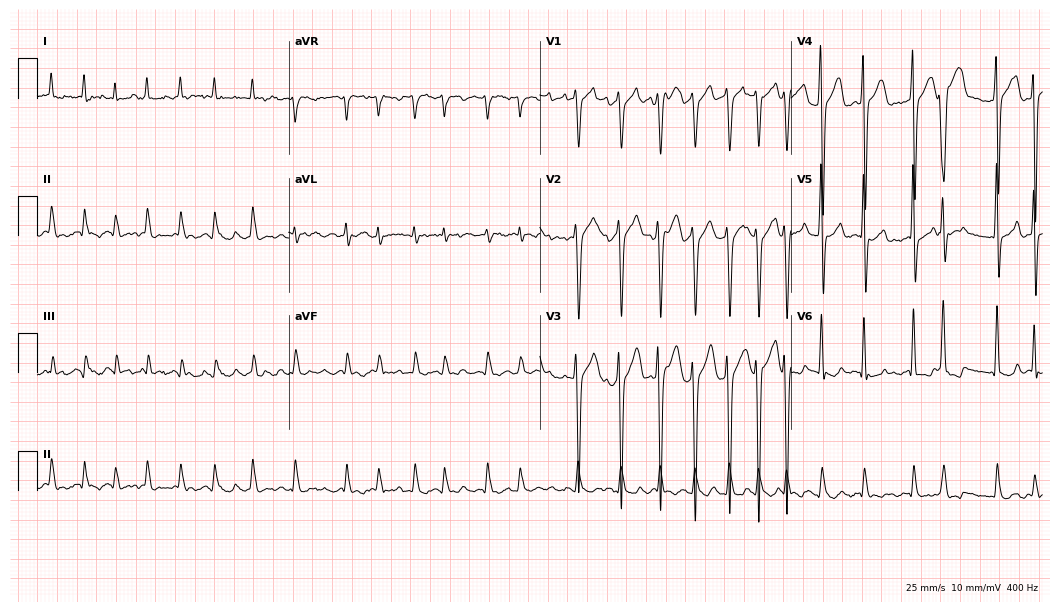
12-lead ECG from a man, 51 years old (10.2-second recording at 400 Hz). Shows atrial fibrillation (AF).